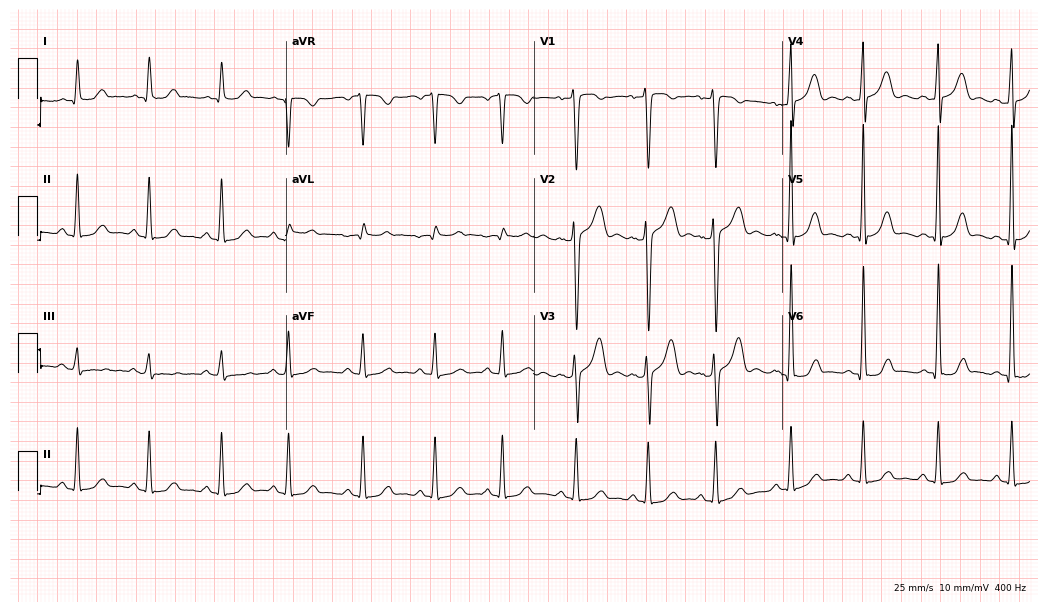
12-lead ECG (10.1-second recording at 400 Hz) from a male patient, 47 years old. Labelled as a normal ECG.